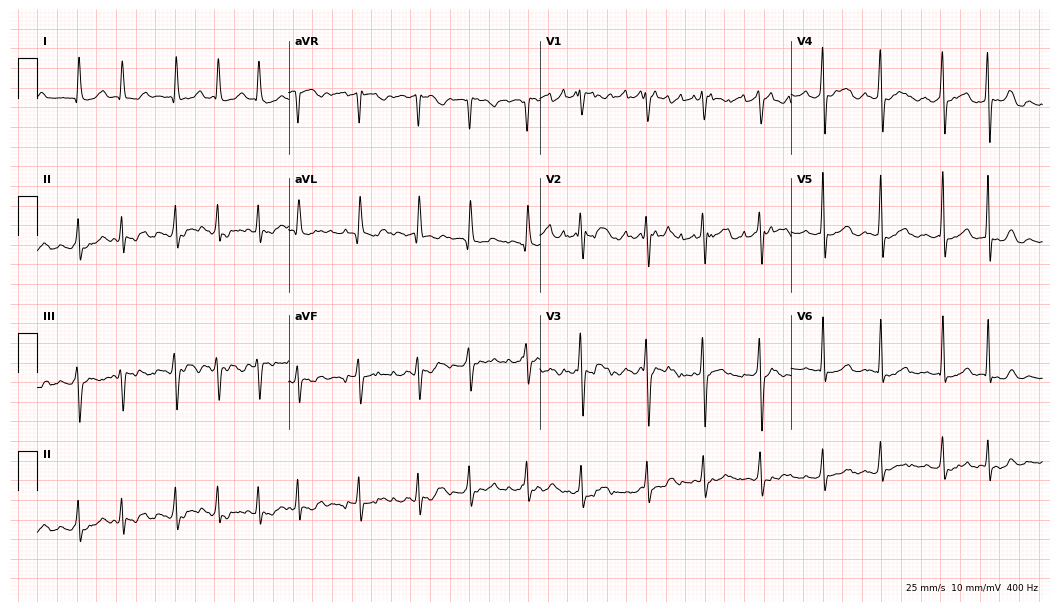
12-lead ECG from a female patient, 74 years old (10.2-second recording at 400 Hz). Shows atrial fibrillation.